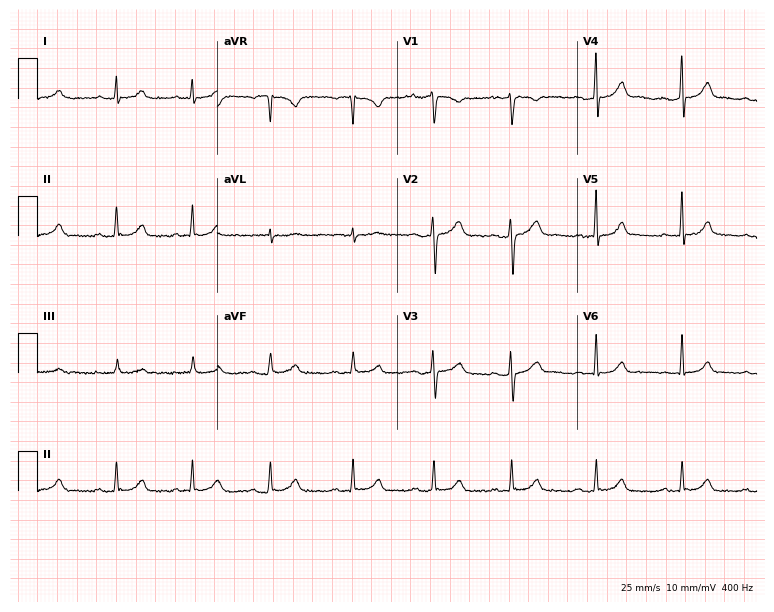
Standard 12-lead ECG recorded from a female, 22 years old (7.3-second recording at 400 Hz). Read as a normal ECG.